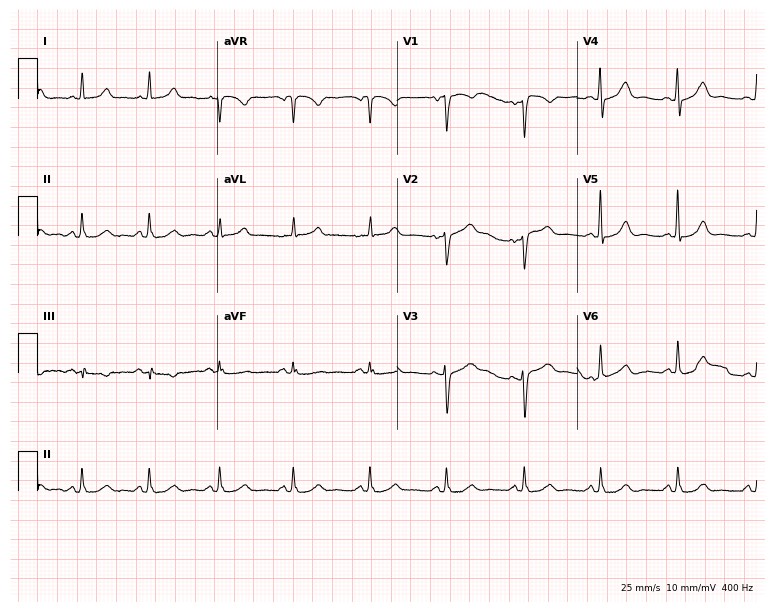
ECG (7.3-second recording at 400 Hz) — a woman, 63 years old. Labelled as a normal ECG.